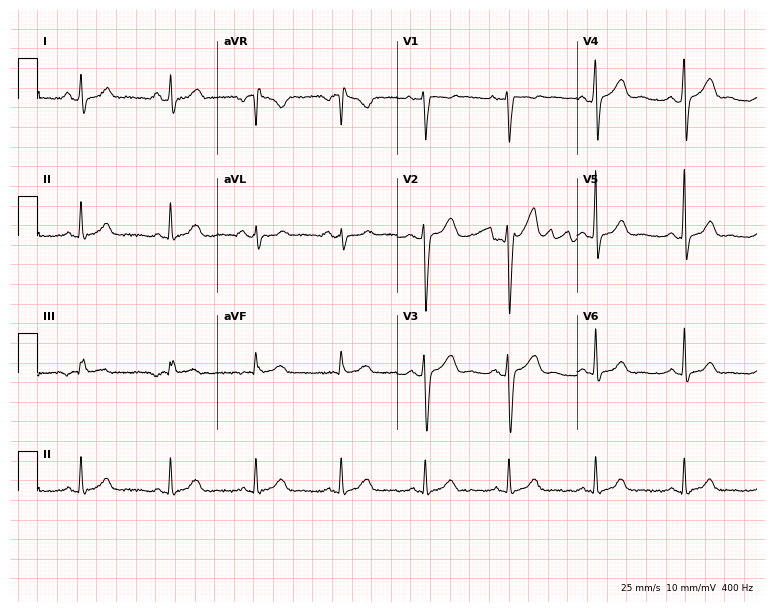
12-lead ECG from a 46-year-old male patient (7.3-second recording at 400 Hz). Recorded interpretation: within normal limits.